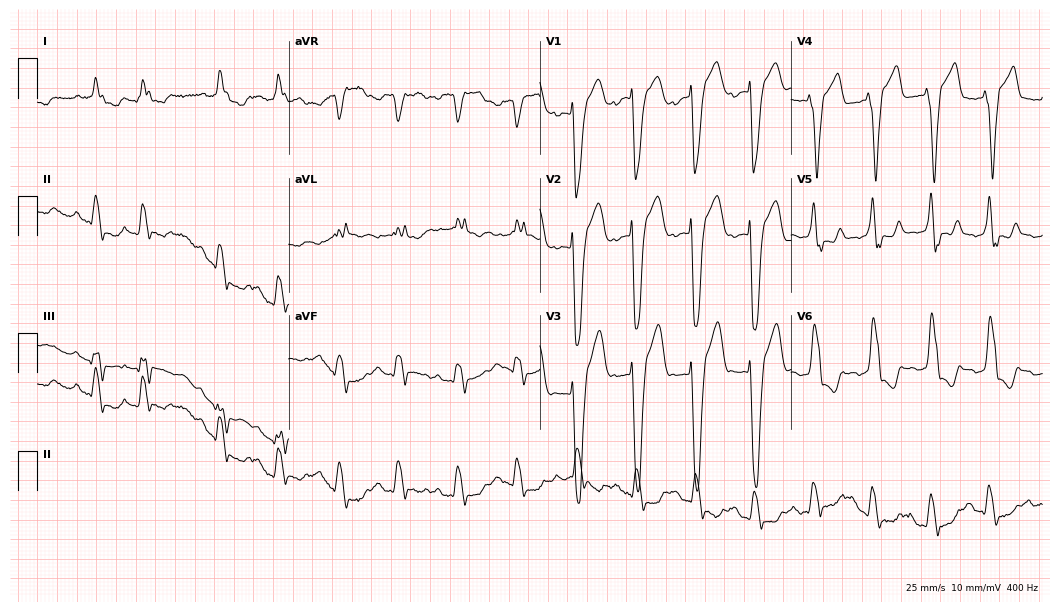
Electrocardiogram, a male patient, 74 years old. Of the six screened findings (first-degree AV block, right bundle branch block (RBBB), left bundle branch block (LBBB), sinus bradycardia, atrial fibrillation (AF), sinus tachycardia), none is recorded.